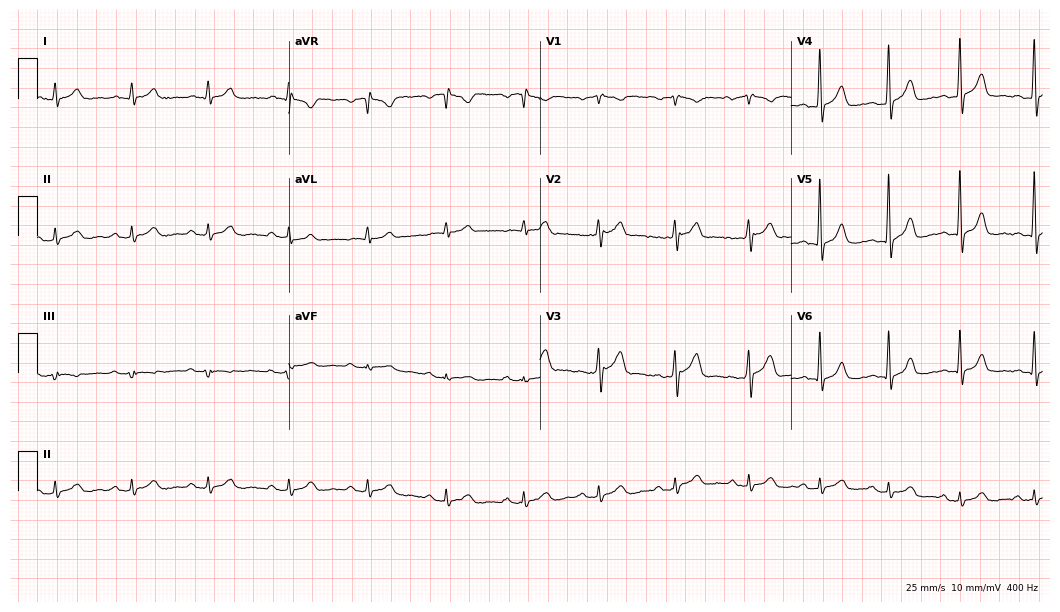
Electrocardiogram, a 59-year-old male. Overall reading on record: normal ECG.